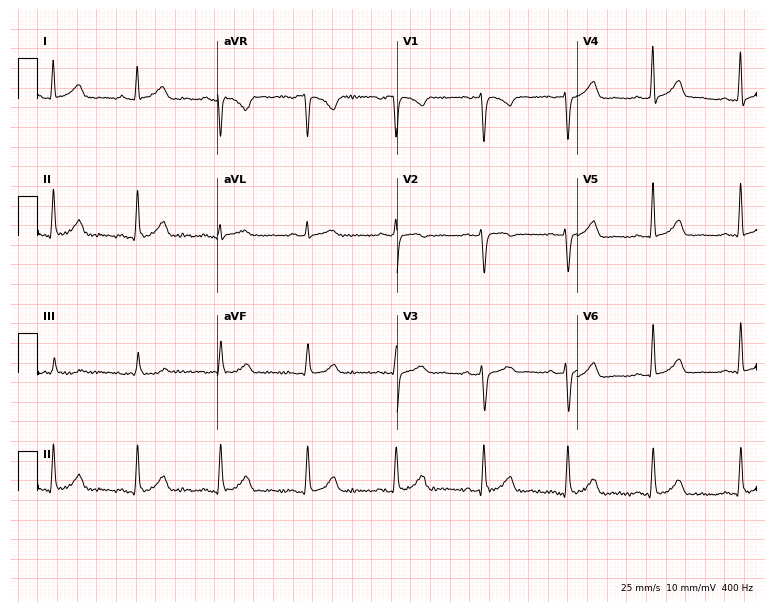
Resting 12-lead electrocardiogram (7.3-second recording at 400 Hz). Patient: a female, 46 years old. None of these six findings is recorded: first-degree AV block, right bundle branch block, left bundle branch block, sinus bradycardia, atrial fibrillation, sinus tachycardia.